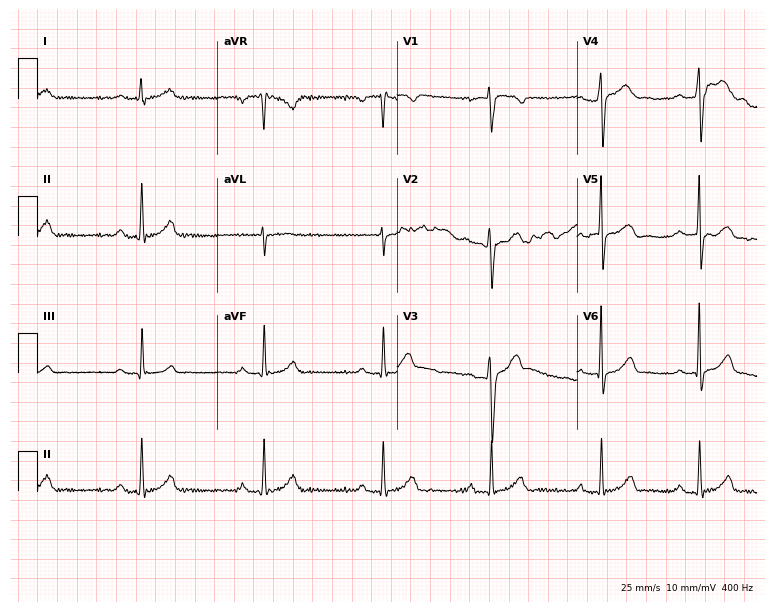
Electrocardiogram (7.3-second recording at 400 Hz), a 23-year-old male. Interpretation includes first-degree AV block.